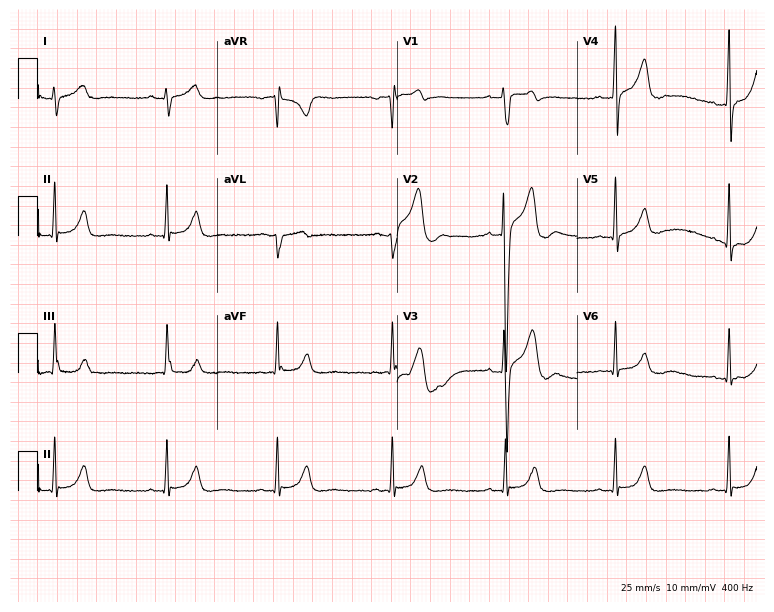
12-lead ECG from a 26-year-old male patient. Labelled as a normal ECG.